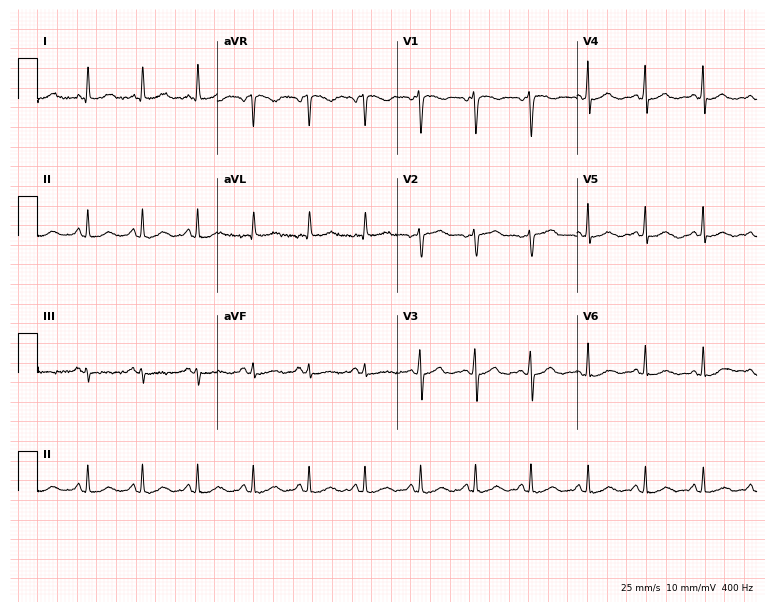
ECG — a 50-year-old woman. Findings include sinus tachycardia (a sinus rate of 100 beats per minute or more).